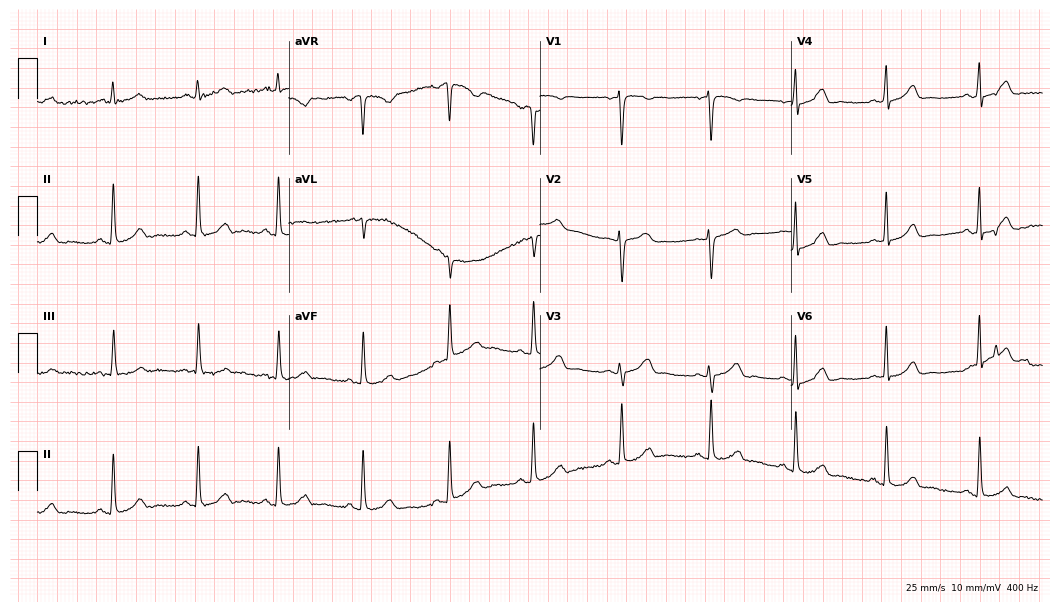
12-lead ECG from a 31-year-old female. Screened for six findings — first-degree AV block, right bundle branch block, left bundle branch block, sinus bradycardia, atrial fibrillation, sinus tachycardia — none is recorded.